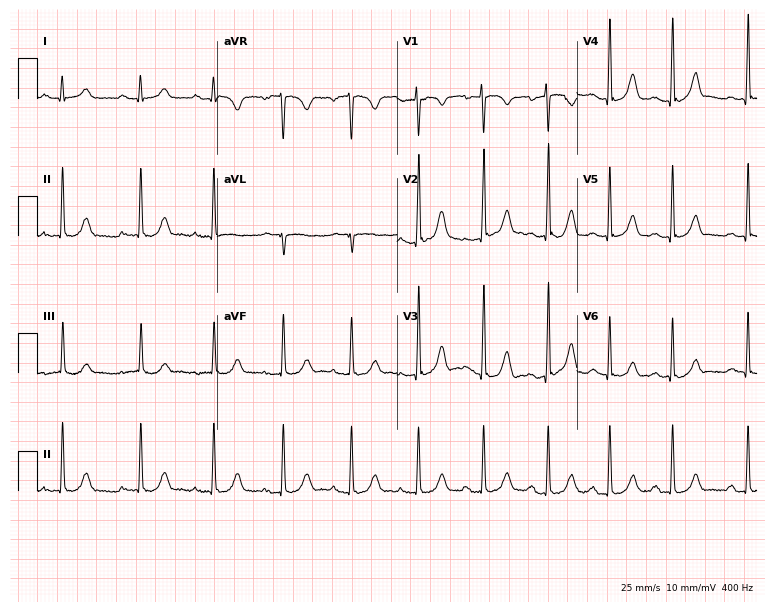
Standard 12-lead ECG recorded from an 18-year-old woman. Read as a normal ECG.